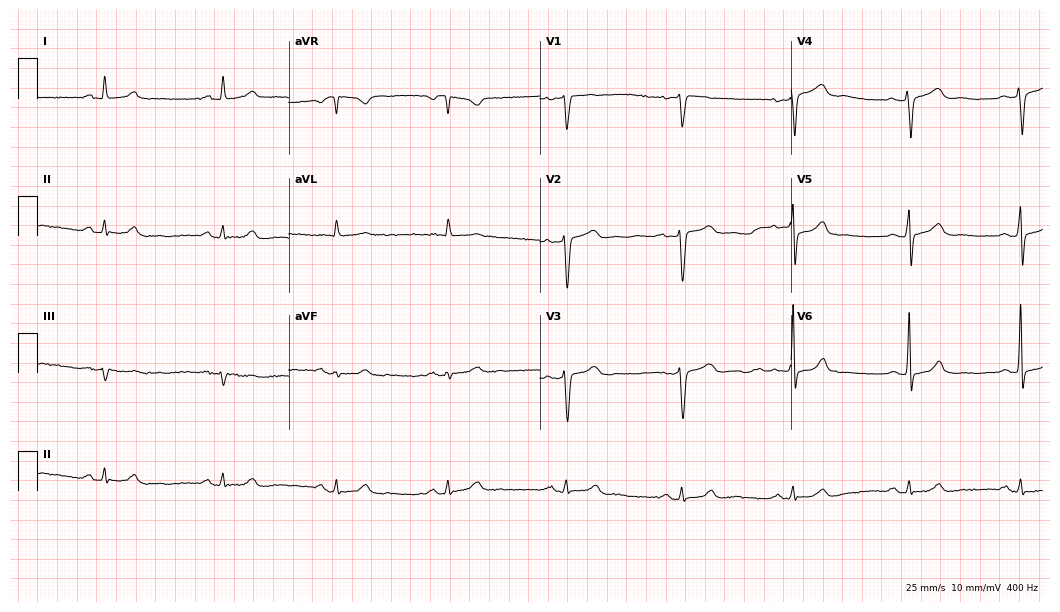
Electrocardiogram, a 27-year-old woman. Of the six screened findings (first-degree AV block, right bundle branch block, left bundle branch block, sinus bradycardia, atrial fibrillation, sinus tachycardia), none is recorded.